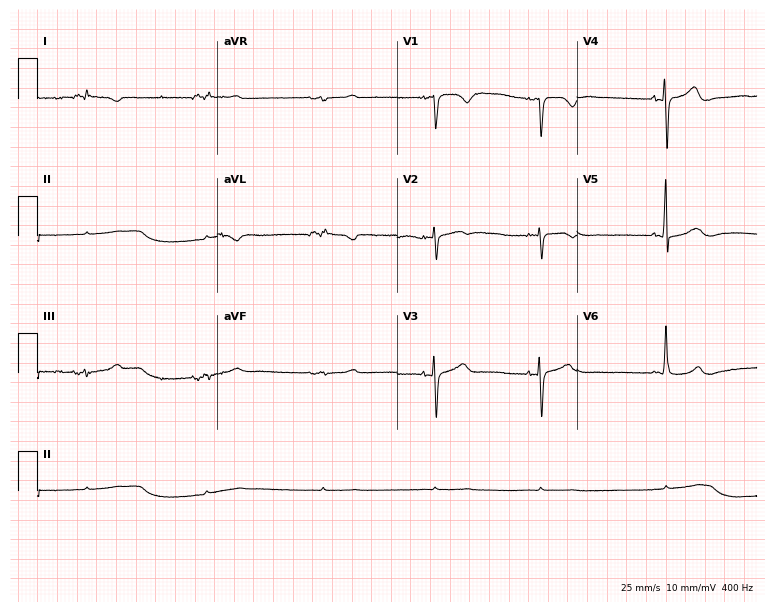
Resting 12-lead electrocardiogram. Patient: a male, 72 years old. None of these six findings is recorded: first-degree AV block, right bundle branch block, left bundle branch block, sinus bradycardia, atrial fibrillation, sinus tachycardia. Only these six findings were labelled.